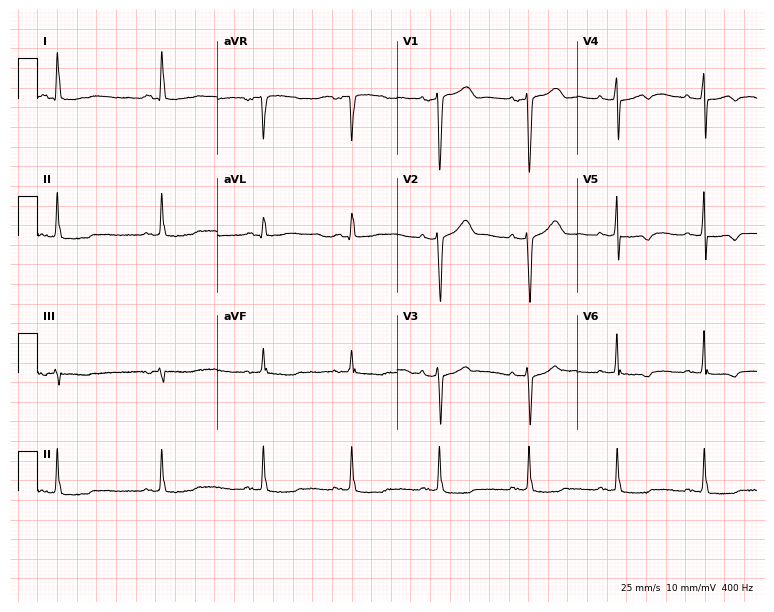
Electrocardiogram, a 64-year-old woman. Of the six screened findings (first-degree AV block, right bundle branch block, left bundle branch block, sinus bradycardia, atrial fibrillation, sinus tachycardia), none is recorded. Only these six findings were labelled.